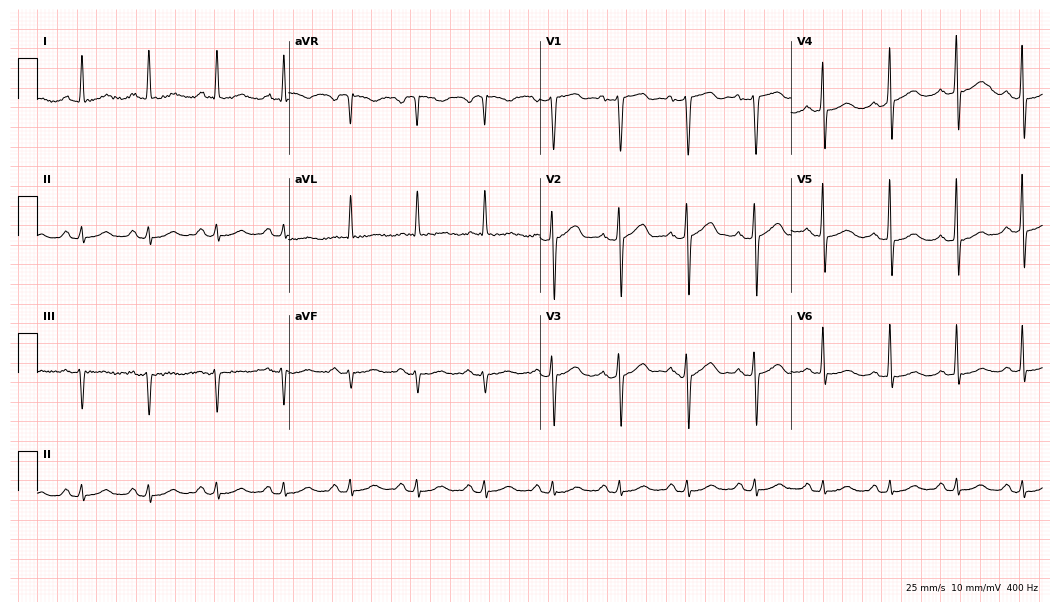
Standard 12-lead ECG recorded from a male, 51 years old (10.2-second recording at 400 Hz). Read as a normal ECG.